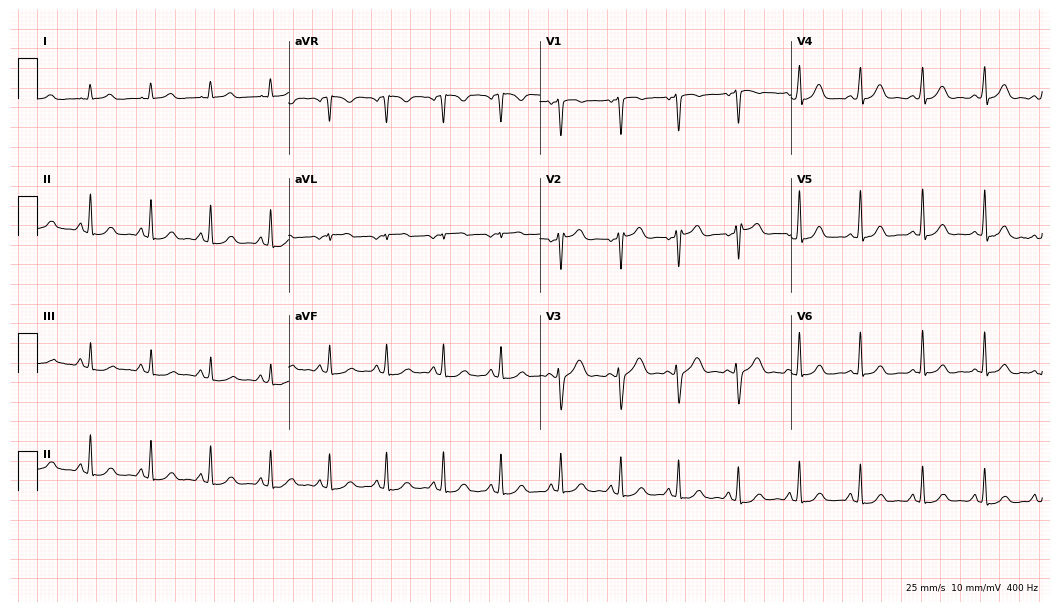
ECG (10.2-second recording at 400 Hz) — a woman, 34 years old. Labelled as a normal ECG.